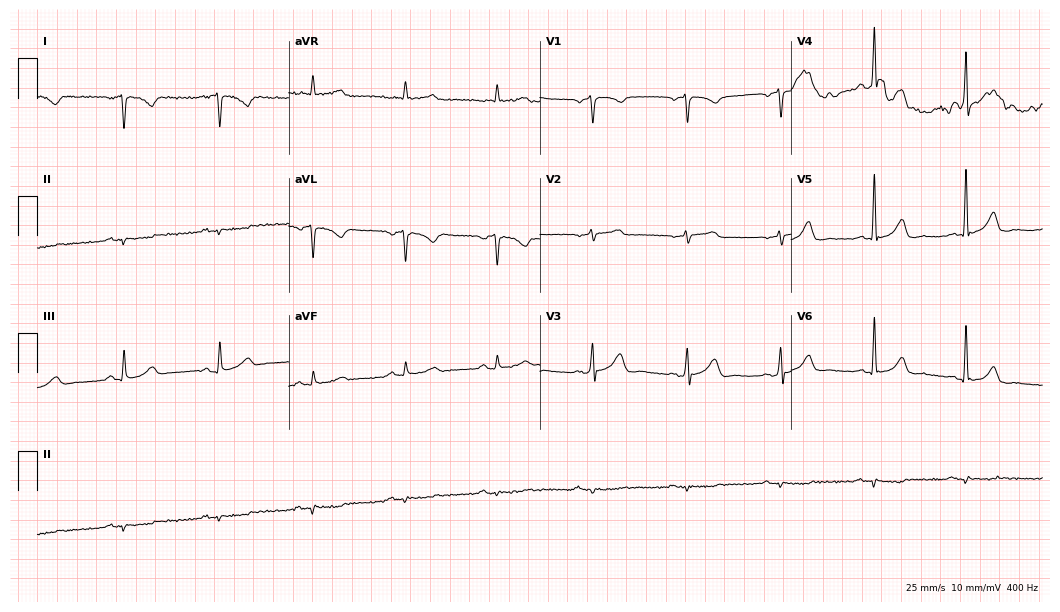
12-lead ECG from a 54-year-old woman. Screened for six findings — first-degree AV block, right bundle branch block, left bundle branch block, sinus bradycardia, atrial fibrillation, sinus tachycardia — none is recorded. Other findings, if any, are not listed.